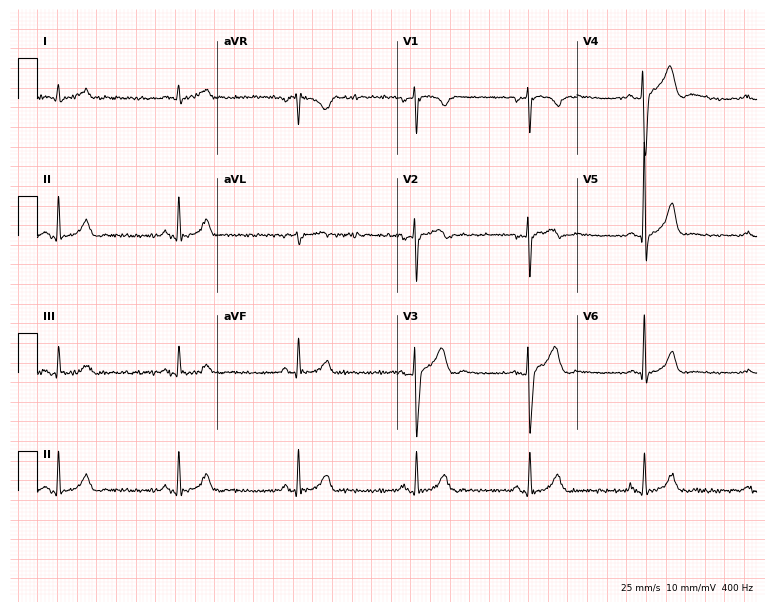
Electrocardiogram, a 43-year-old man. Interpretation includes sinus bradycardia (a sinus rate of 50 beats per minute or less).